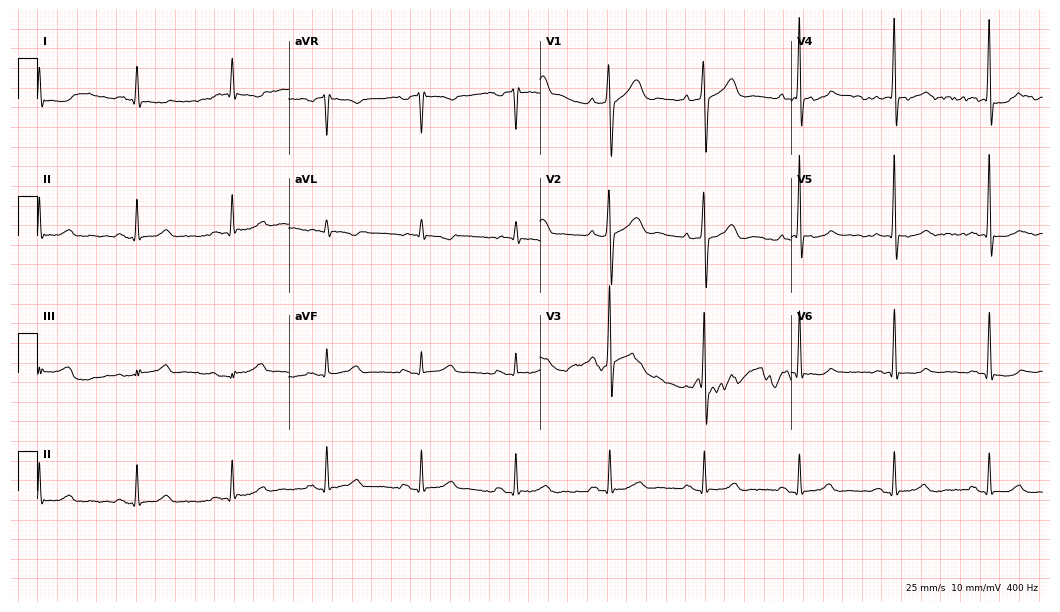
Resting 12-lead electrocardiogram. Patient: a man, 79 years old. None of these six findings is recorded: first-degree AV block, right bundle branch block, left bundle branch block, sinus bradycardia, atrial fibrillation, sinus tachycardia. Only these six findings were labelled.